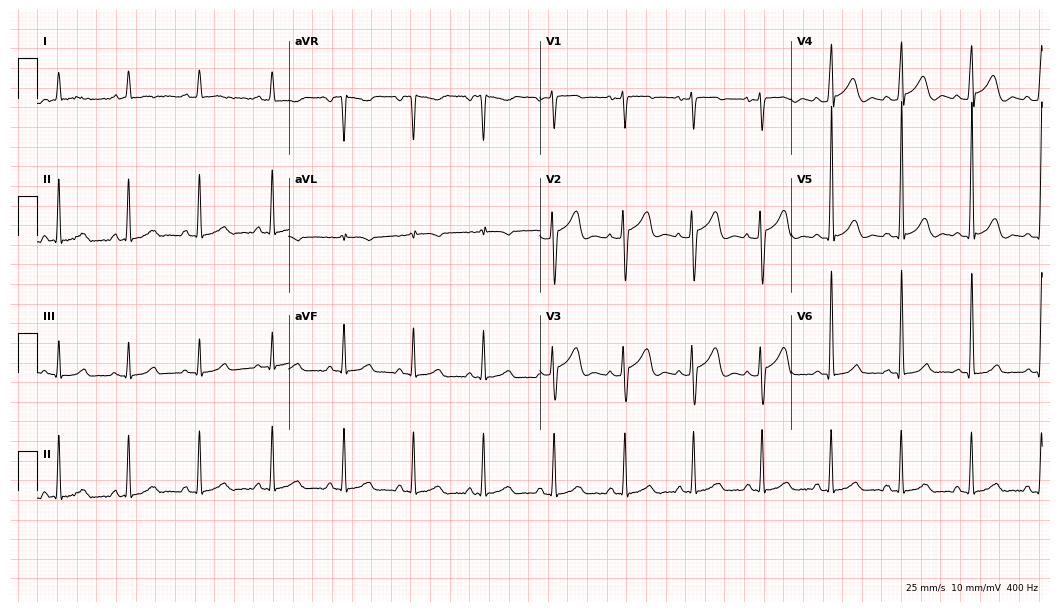
Standard 12-lead ECG recorded from a female patient, 42 years old (10.2-second recording at 400 Hz). None of these six findings is recorded: first-degree AV block, right bundle branch block (RBBB), left bundle branch block (LBBB), sinus bradycardia, atrial fibrillation (AF), sinus tachycardia.